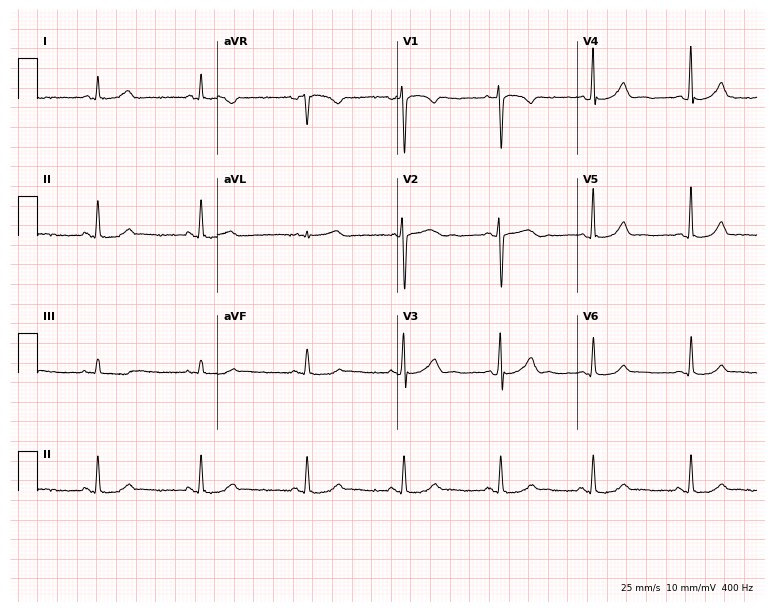
ECG — a 36-year-old woman. Labelled as a normal ECG.